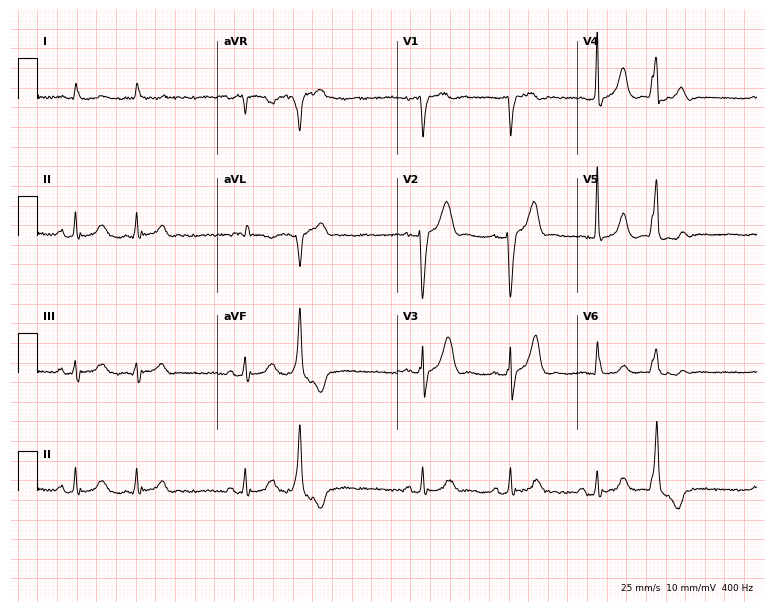
12-lead ECG from a male patient, 73 years old (7.3-second recording at 400 Hz). No first-degree AV block, right bundle branch block, left bundle branch block, sinus bradycardia, atrial fibrillation or sinus tachycardia recorded for this tracing.